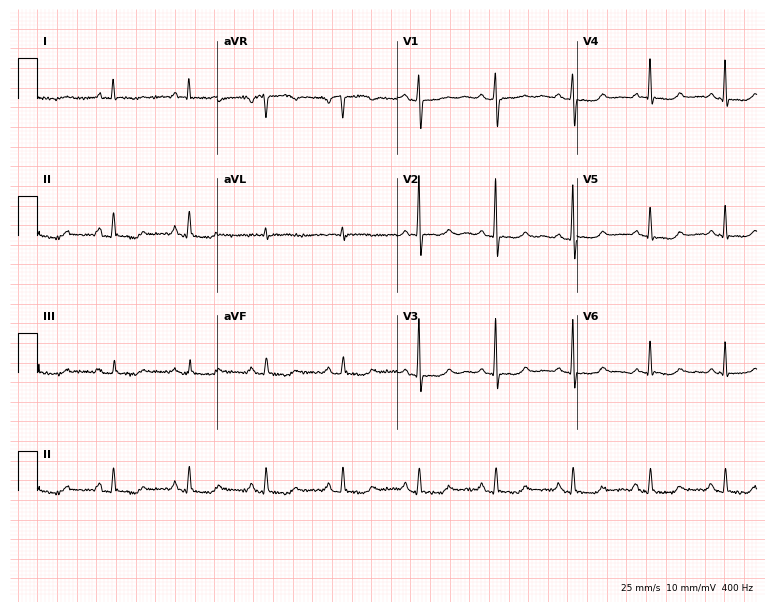
12-lead ECG from a male patient, 50 years old. Labelled as a normal ECG.